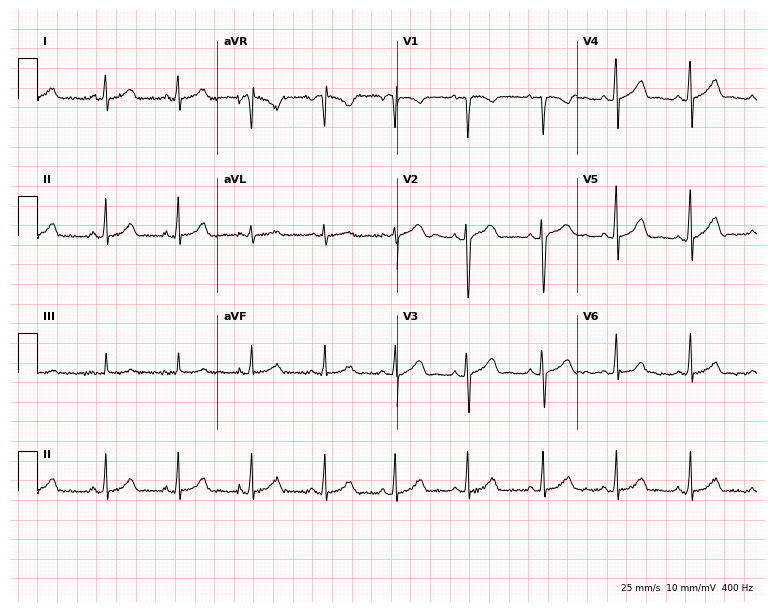
ECG (7.3-second recording at 400 Hz) — a 27-year-old female. Screened for six findings — first-degree AV block, right bundle branch block (RBBB), left bundle branch block (LBBB), sinus bradycardia, atrial fibrillation (AF), sinus tachycardia — none is recorded. Findings outside these six are not listed.